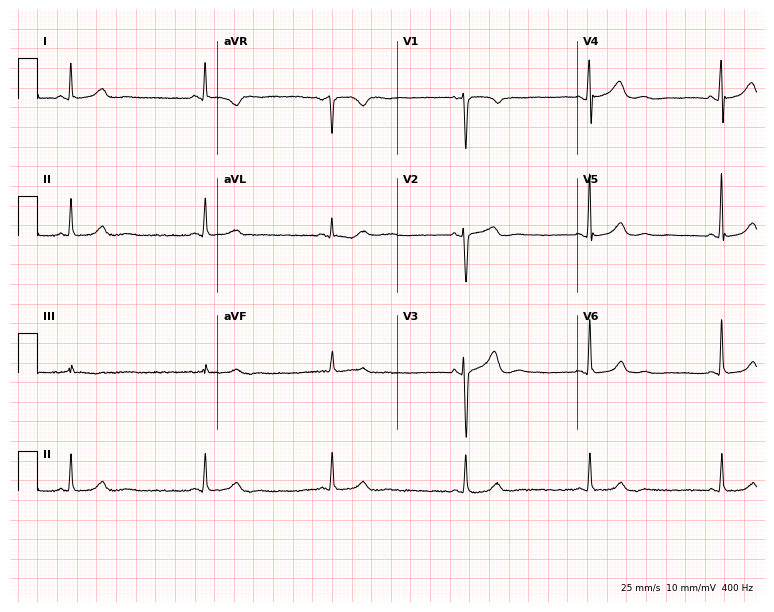
Resting 12-lead electrocardiogram (7.3-second recording at 400 Hz). Patient: a female, 52 years old. The tracing shows sinus bradycardia (a sinus rate of 50 beats per minute or less).